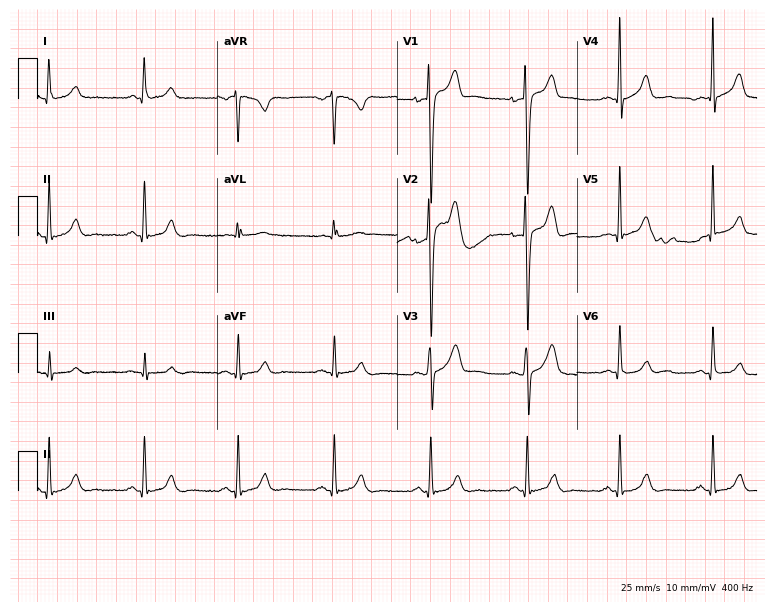
Standard 12-lead ECG recorded from a man, 44 years old. Read as a normal ECG.